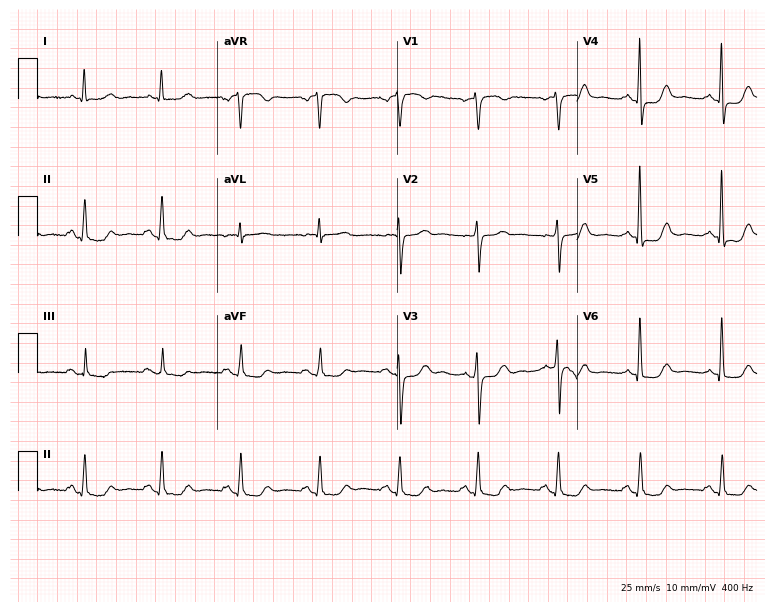
Electrocardiogram, a 60-year-old female. Of the six screened findings (first-degree AV block, right bundle branch block, left bundle branch block, sinus bradycardia, atrial fibrillation, sinus tachycardia), none is recorded.